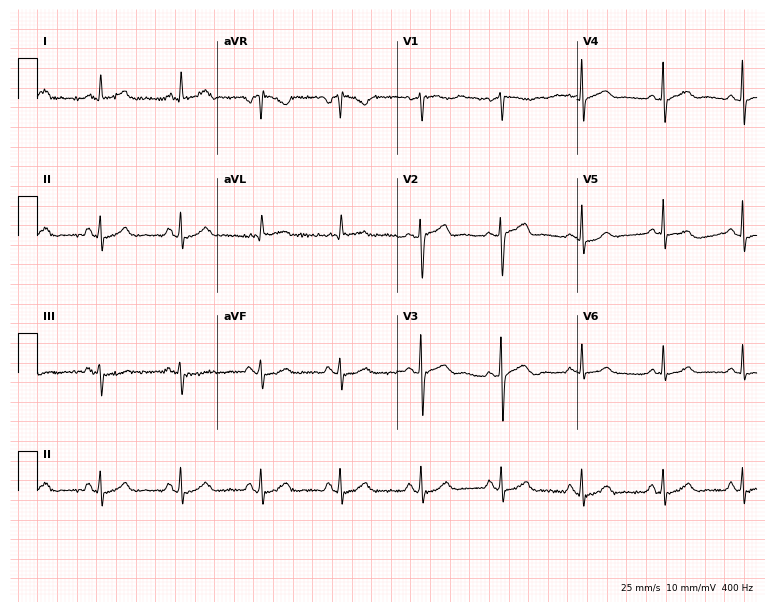
12-lead ECG from a male patient, 37 years old (7.3-second recording at 400 Hz). Recorded interpretation: within normal limits.